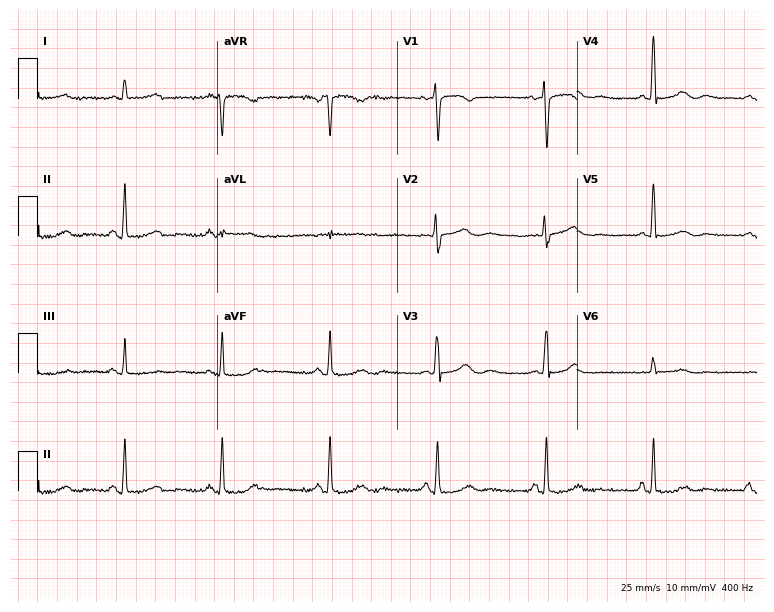
Electrocardiogram (7.3-second recording at 400 Hz), a female, 64 years old. Of the six screened findings (first-degree AV block, right bundle branch block, left bundle branch block, sinus bradycardia, atrial fibrillation, sinus tachycardia), none is recorded. Other findings, if any, are not listed.